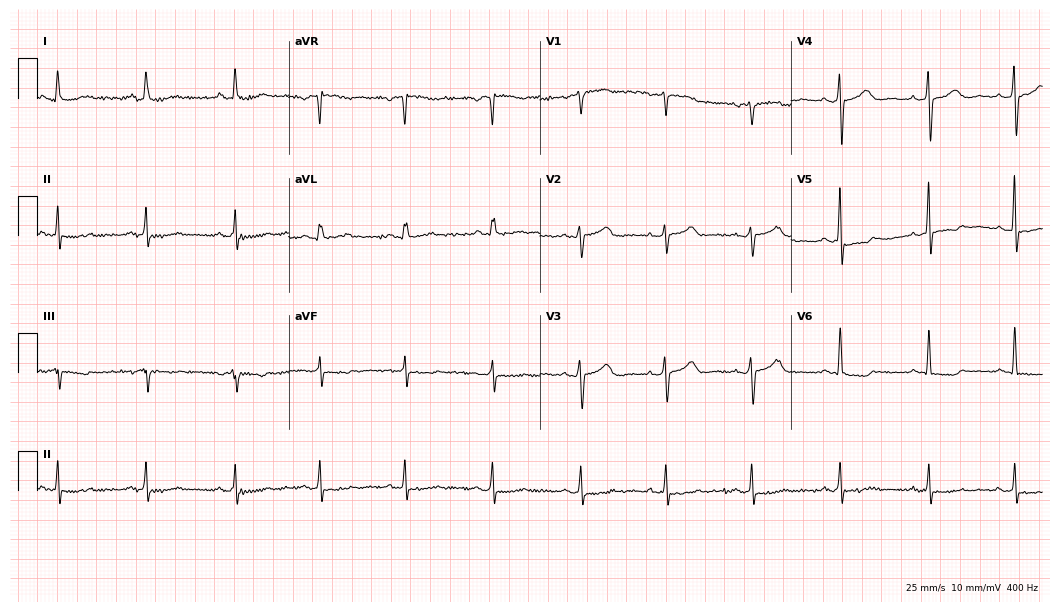
12-lead ECG from a 58-year-old woman. Recorded interpretation: within normal limits.